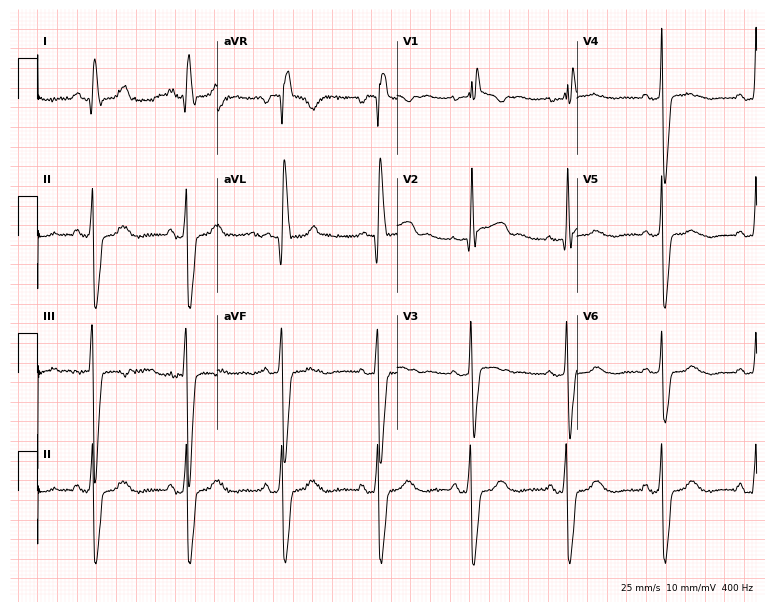
Standard 12-lead ECG recorded from a female patient, 65 years old. The tracing shows right bundle branch block.